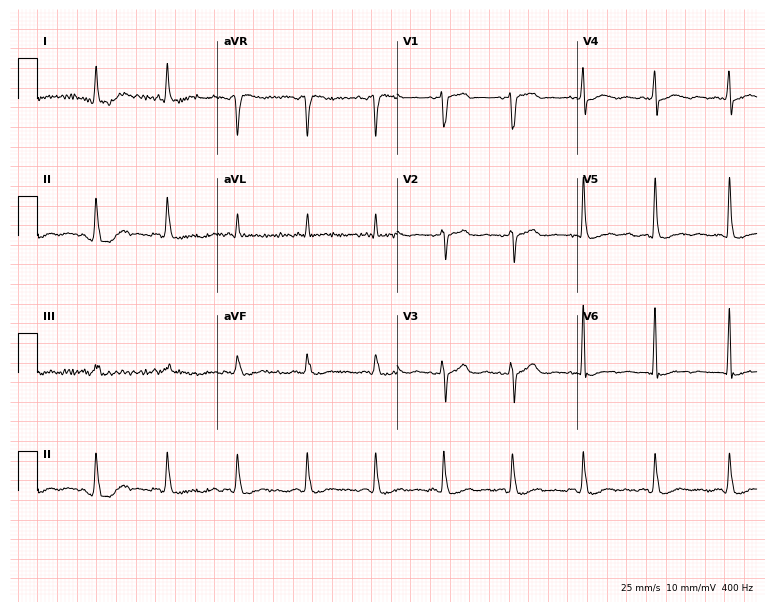
Resting 12-lead electrocardiogram. Patient: a 67-year-old man. None of these six findings is recorded: first-degree AV block, right bundle branch block, left bundle branch block, sinus bradycardia, atrial fibrillation, sinus tachycardia. Other findings, if any, are not listed.